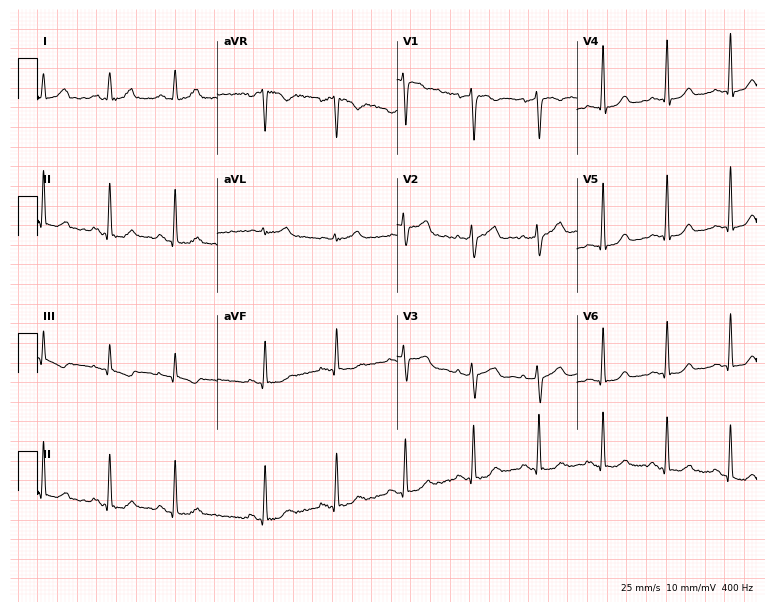
12-lead ECG (7.3-second recording at 400 Hz) from a female patient, 41 years old. Screened for six findings — first-degree AV block, right bundle branch block, left bundle branch block, sinus bradycardia, atrial fibrillation, sinus tachycardia — none is recorded. Findings outside these six are not listed.